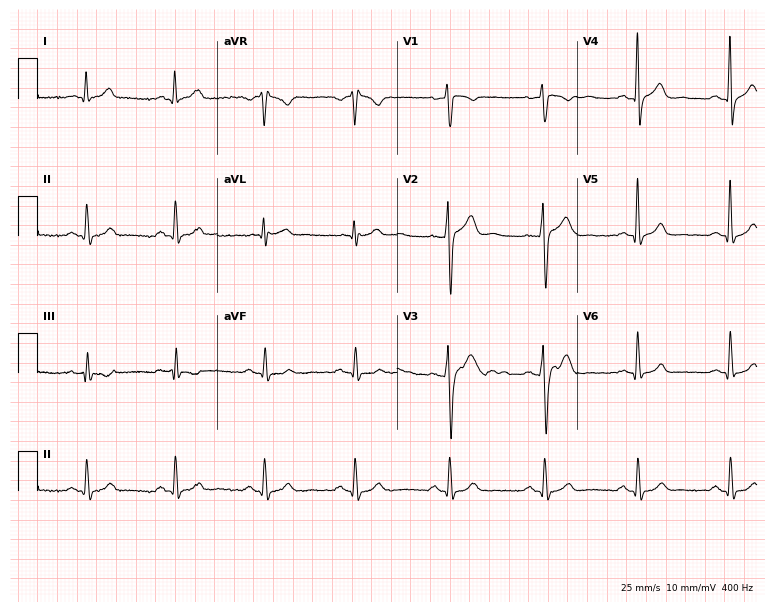
Electrocardiogram, a man, 34 years old. Of the six screened findings (first-degree AV block, right bundle branch block, left bundle branch block, sinus bradycardia, atrial fibrillation, sinus tachycardia), none is recorded.